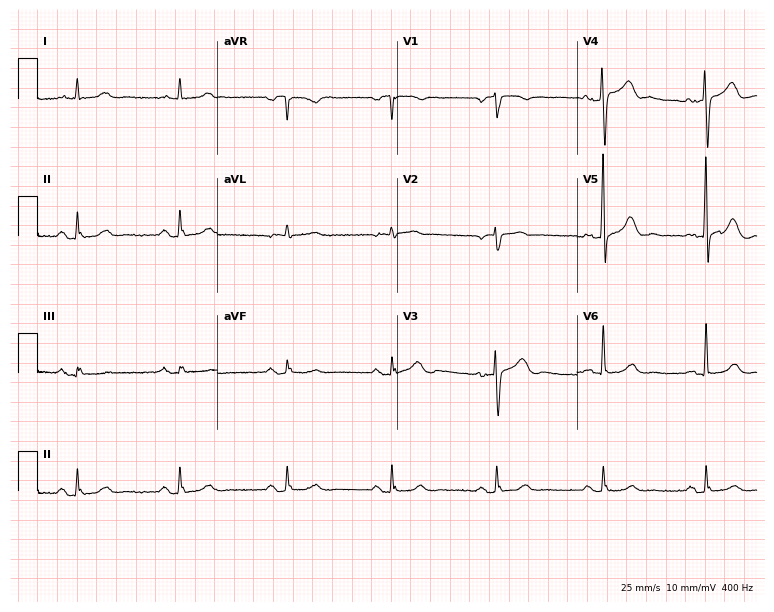
12-lead ECG from a 79-year-old female. Recorded interpretation: within normal limits.